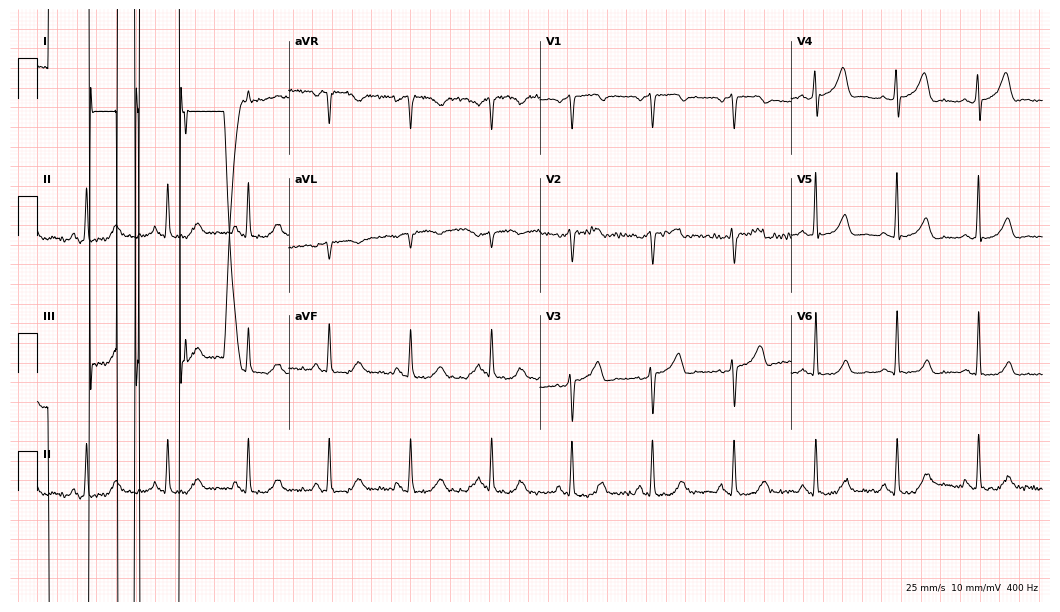
Electrocardiogram, a 70-year-old male patient. Of the six screened findings (first-degree AV block, right bundle branch block, left bundle branch block, sinus bradycardia, atrial fibrillation, sinus tachycardia), none is recorded. Findings outside these six are not listed.